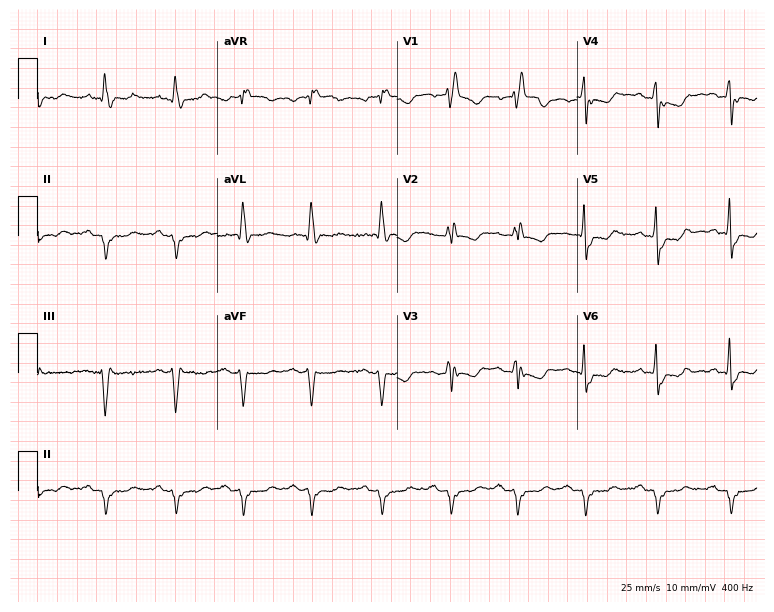
Resting 12-lead electrocardiogram (7.3-second recording at 400 Hz). Patient: a male, 67 years old. The tracing shows right bundle branch block.